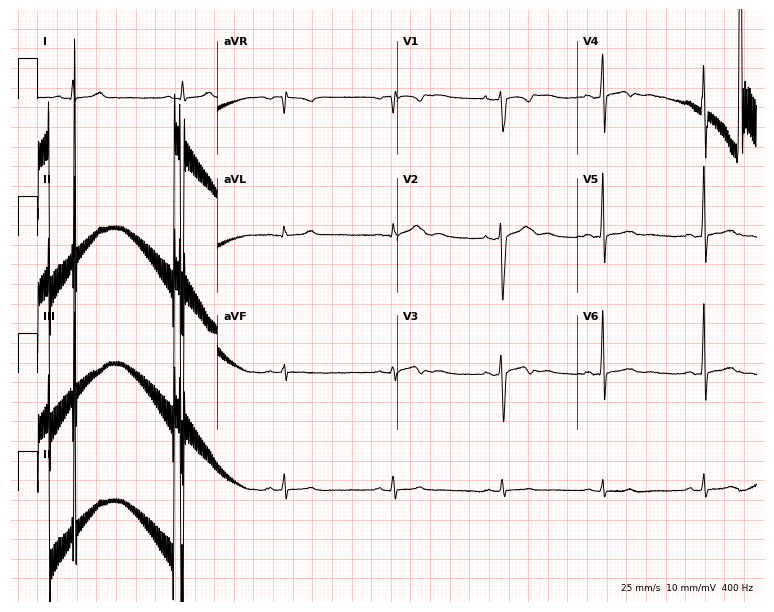
Electrocardiogram (7.3-second recording at 400 Hz), a 21-year-old woman. Of the six screened findings (first-degree AV block, right bundle branch block, left bundle branch block, sinus bradycardia, atrial fibrillation, sinus tachycardia), none is recorded.